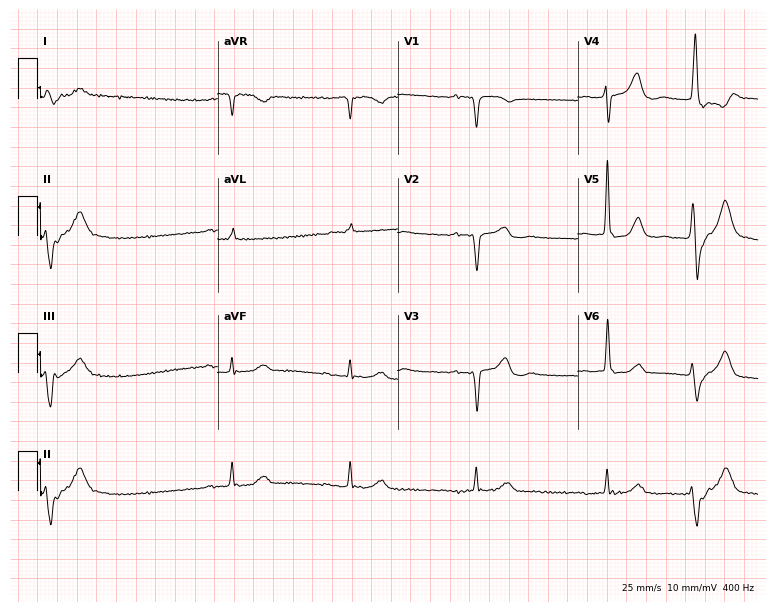
Standard 12-lead ECG recorded from an 81-year-old male. The tracing shows sinus bradycardia (a sinus rate of 50 beats per minute or less).